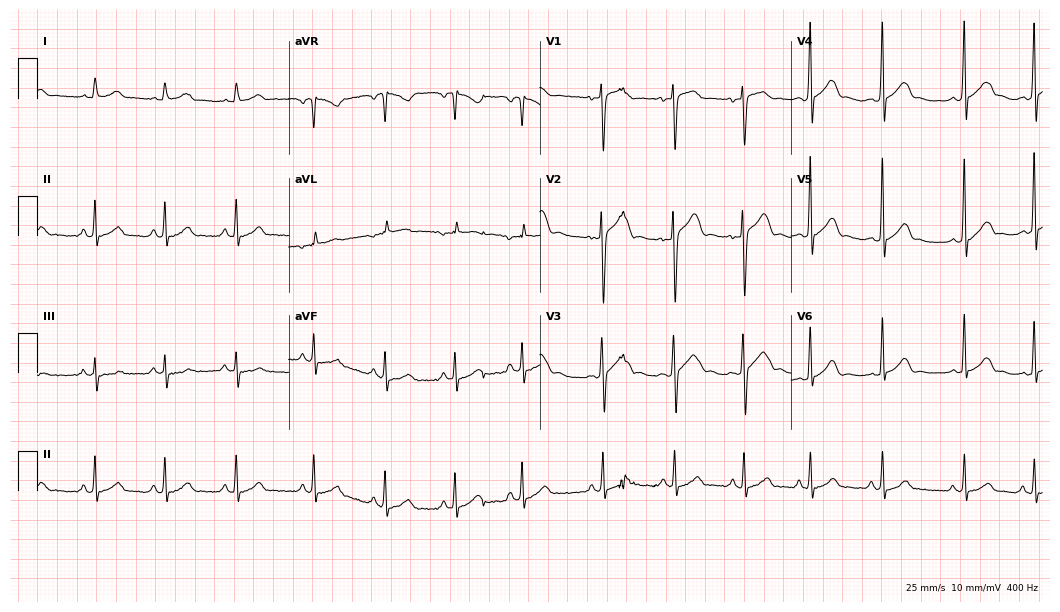
ECG (10.2-second recording at 400 Hz) — an 18-year-old female patient. Labelled as a normal ECG.